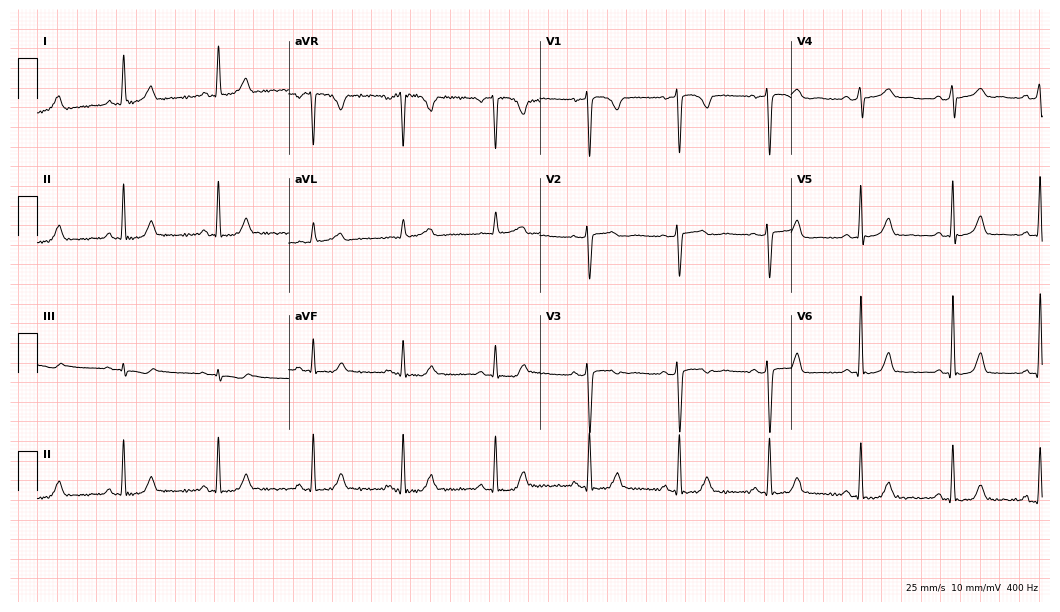
Electrocardiogram (10.2-second recording at 400 Hz), a 38-year-old female patient. Overall reading on record: normal ECG.